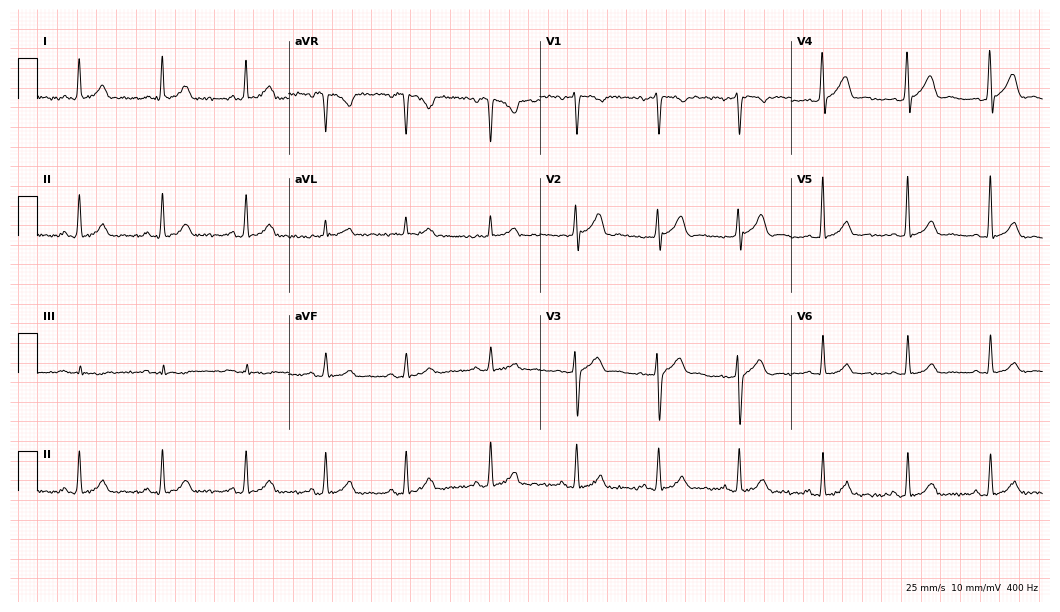
12-lead ECG from a male patient, 44 years old. Labelled as a normal ECG.